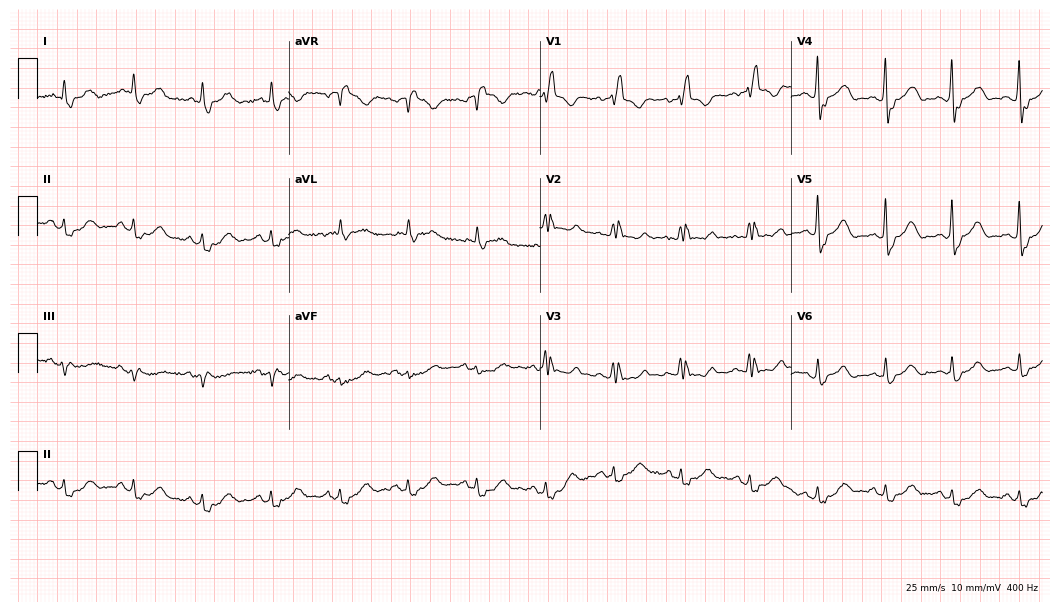
12-lead ECG from a female, 85 years old (10.2-second recording at 400 Hz). Shows right bundle branch block (RBBB).